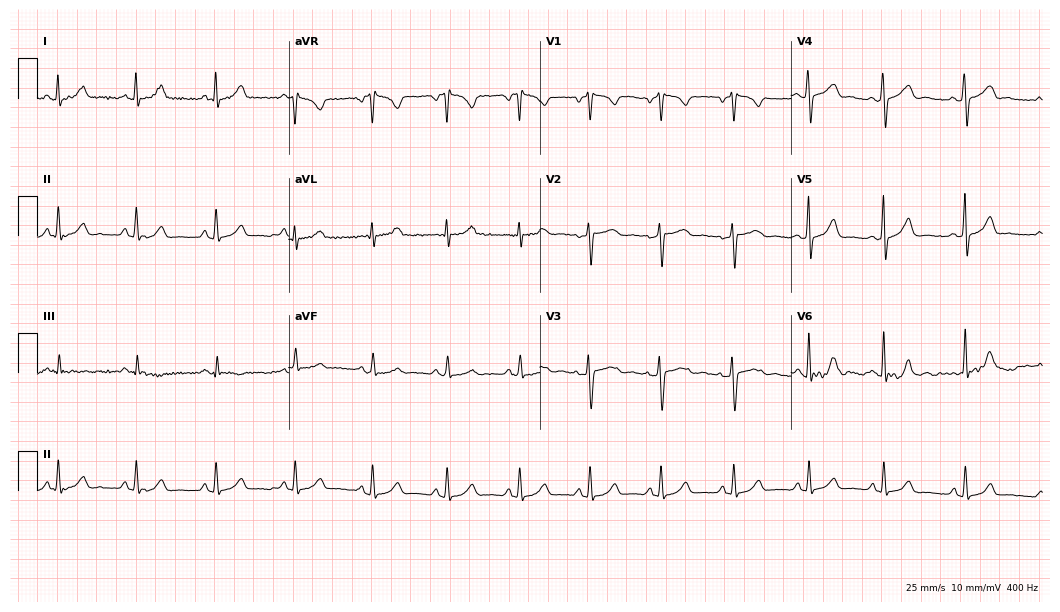
Standard 12-lead ECG recorded from a 31-year-old woman. None of these six findings is recorded: first-degree AV block, right bundle branch block, left bundle branch block, sinus bradycardia, atrial fibrillation, sinus tachycardia. Findings outside these six are not listed.